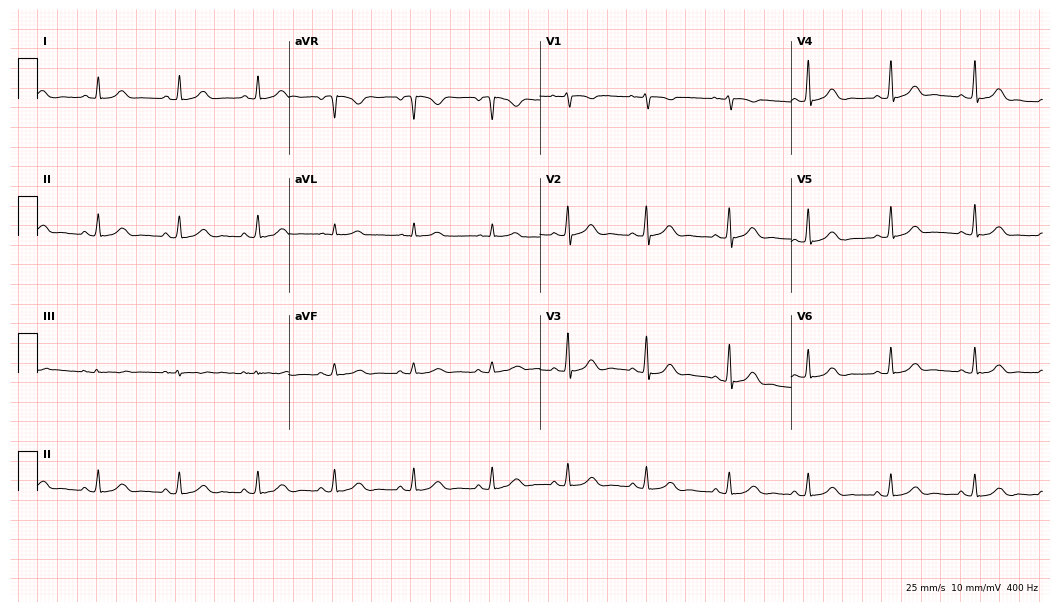
12-lead ECG from a 53-year-old female. Screened for six findings — first-degree AV block, right bundle branch block, left bundle branch block, sinus bradycardia, atrial fibrillation, sinus tachycardia — none is recorded.